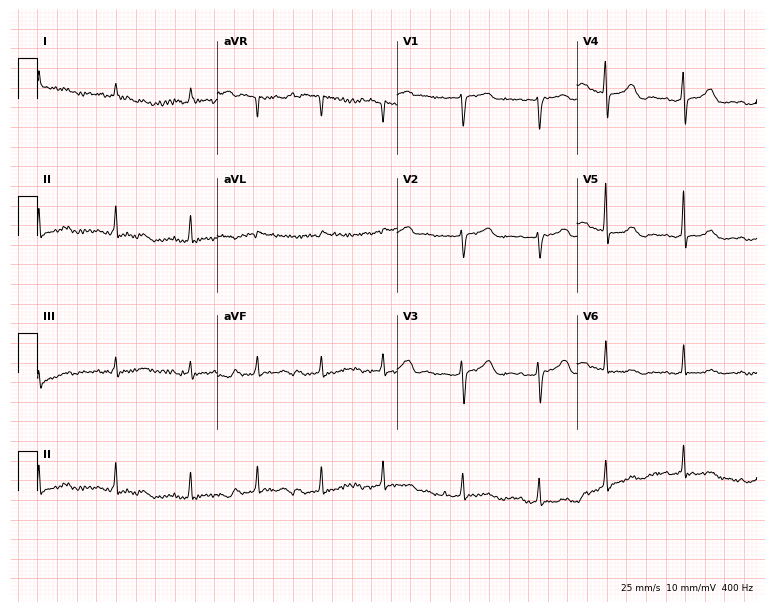
ECG — a woman, 84 years old. Screened for six findings — first-degree AV block, right bundle branch block, left bundle branch block, sinus bradycardia, atrial fibrillation, sinus tachycardia — none is recorded.